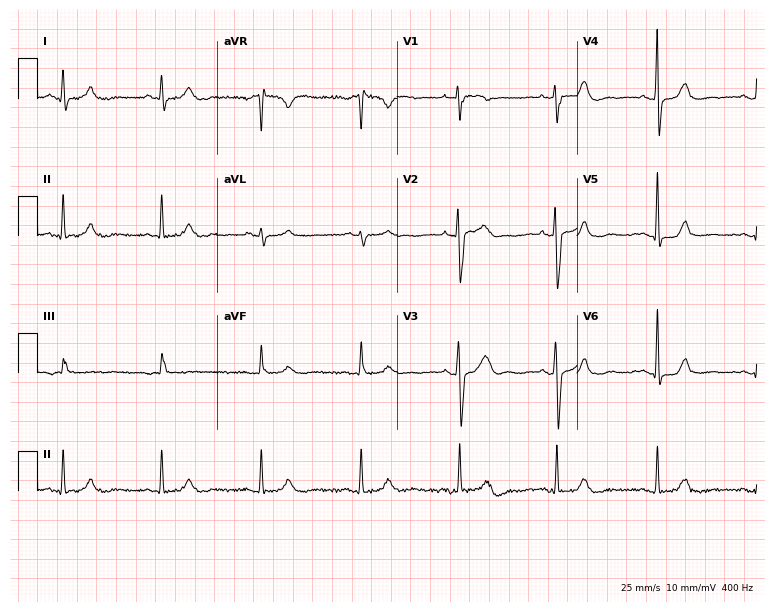
Resting 12-lead electrocardiogram (7.3-second recording at 400 Hz). Patient: a 48-year-old female. Read as a normal ECG.